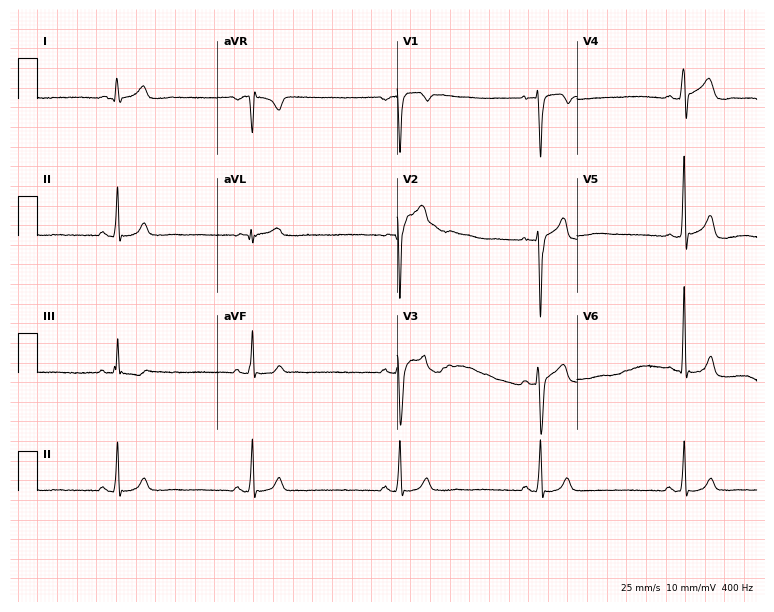
12-lead ECG from a male, 34 years old (7.3-second recording at 400 Hz). Shows sinus bradycardia (a sinus rate of 50 beats per minute or less).